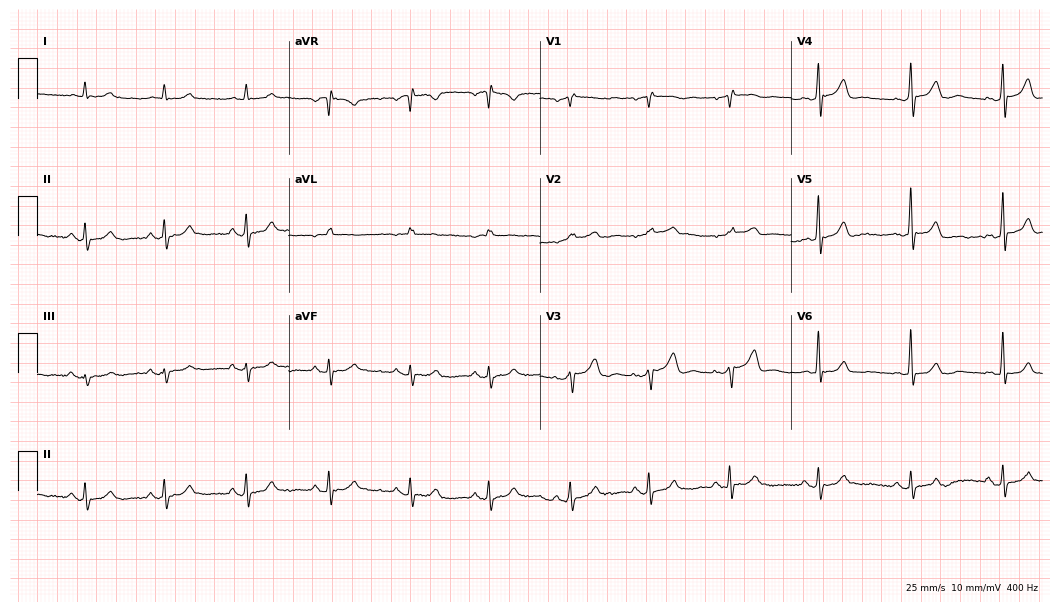
12-lead ECG from a male patient, 75 years old (10.2-second recording at 400 Hz). Recorded interpretation: within normal limits.